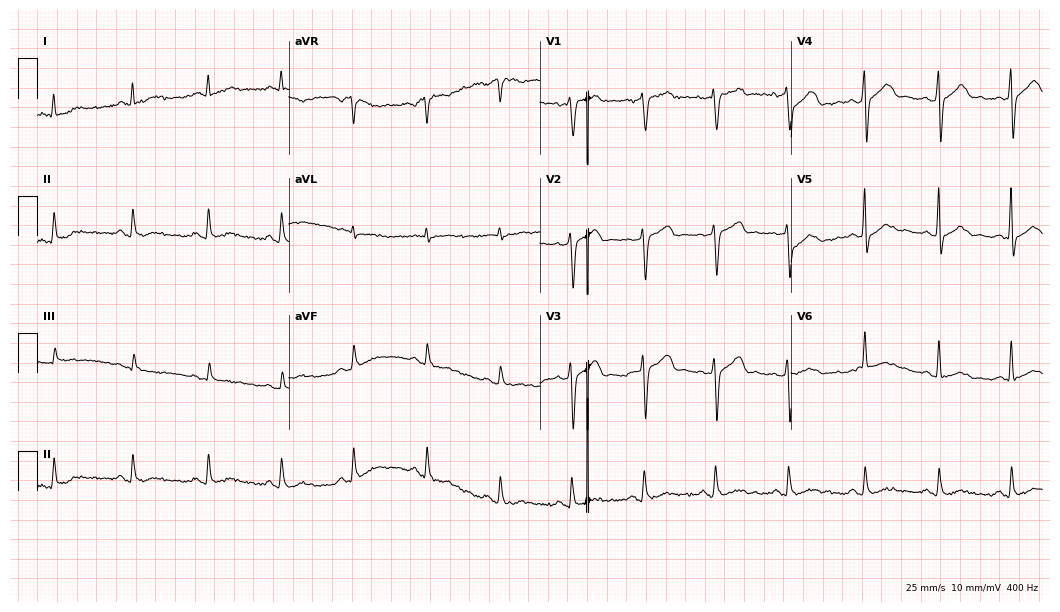
Resting 12-lead electrocardiogram. Patient: a 37-year-old male. None of these six findings is recorded: first-degree AV block, right bundle branch block, left bundle branch block, sinus bradycardia, atrial fibrillation, sinus tachycardia.